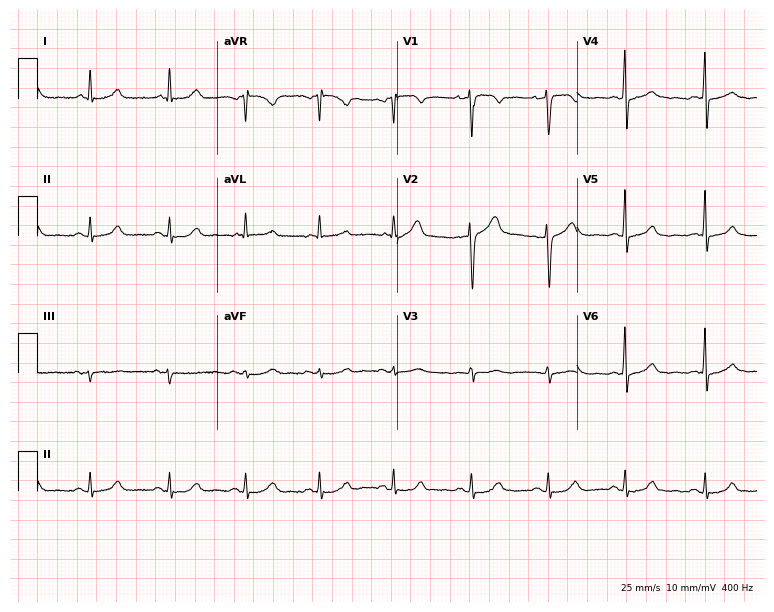
Standard 12-lead ECG recorded from a 52-year-old woman. Read as a normal ECG.